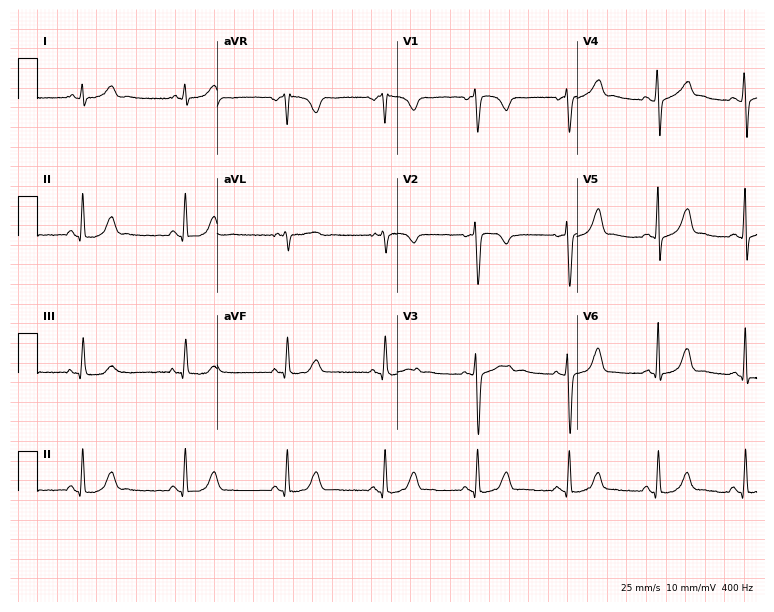
Resting 12-lead electrocardiogram (7.3-second recording at 400 Hz). Patient: a woman, 28 years old. Read as a normal ECG.